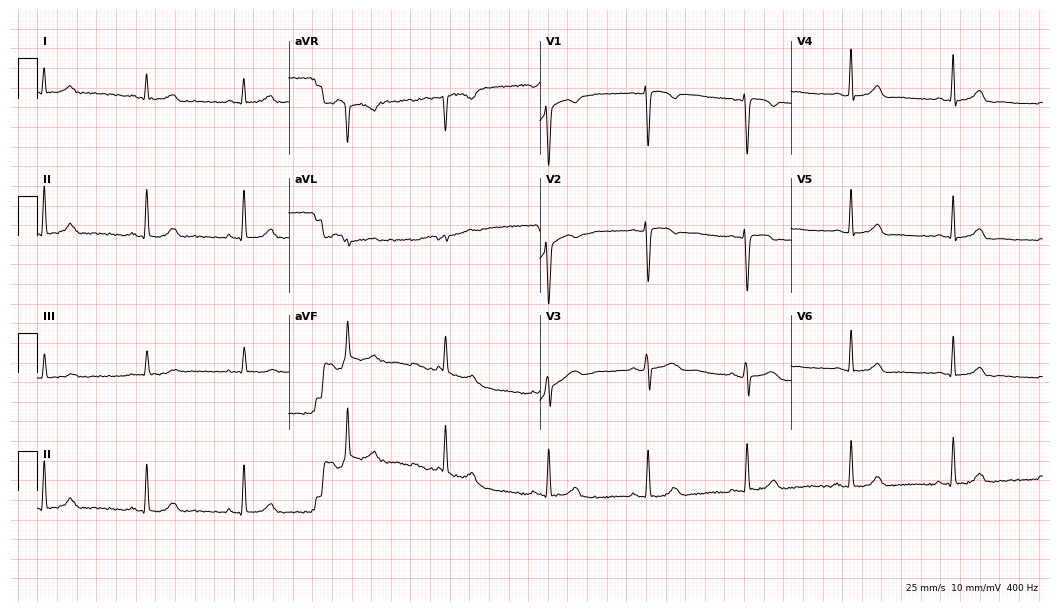
12-lead ECG from a female, 33 years old. Recorded interpretation: within normal limits.